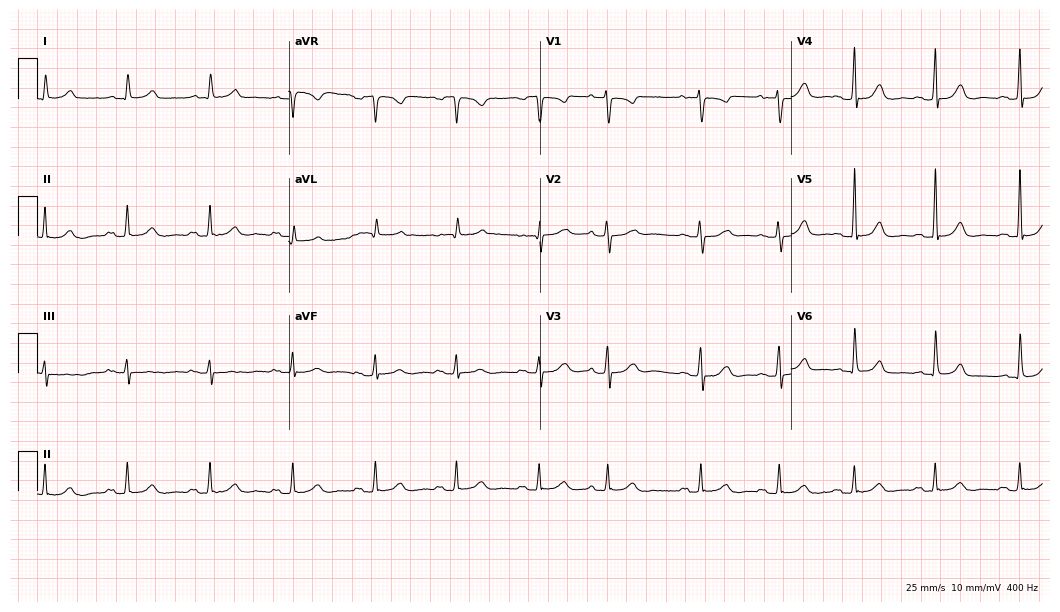
Resting 12-lead electrocardiogram. Patient: a woman, 72 years old. None of these six findings is recorded: first-degree AV block, right bundle branch block (RBBB), left bundle branch block (LBBB), sinus bradycardia, atrial fibrillation (AF), sinus tachycardia. Only these six findings were labelled.